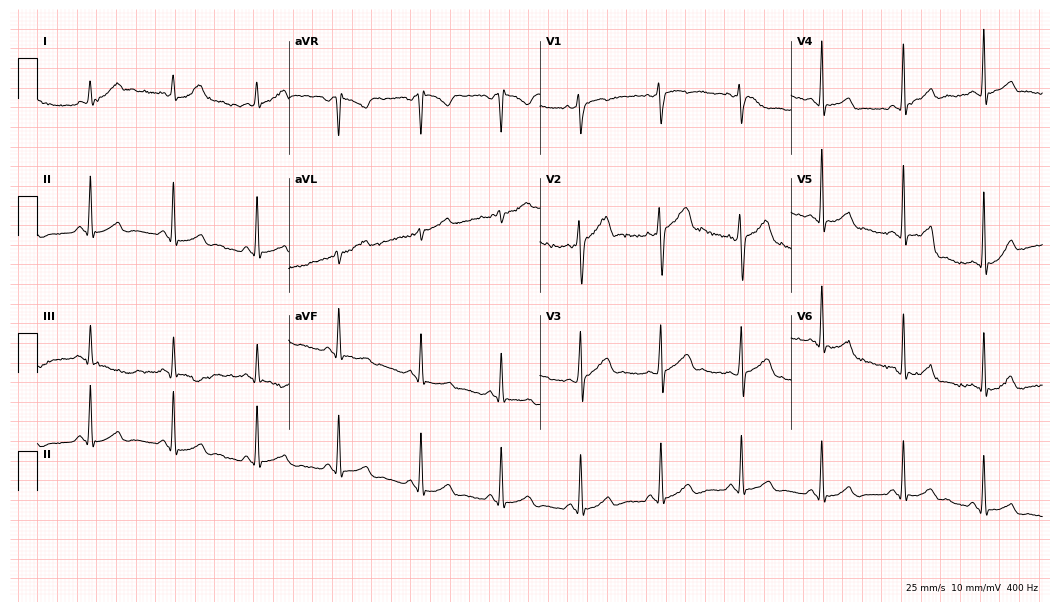
Resting 12-lead electrocardiogram (10.2-second recording at 400 Hz). Patient: a man, 22 years old. Read as a normal ECG.